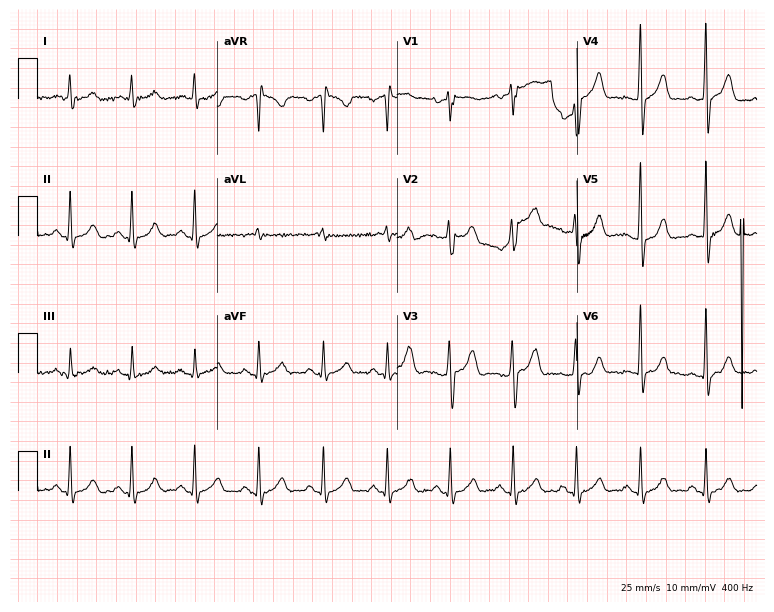
Electrocardiogram (7.3-second recording at 400 Hz), a 55-year-old man. Overall reading on record: normal ECG.